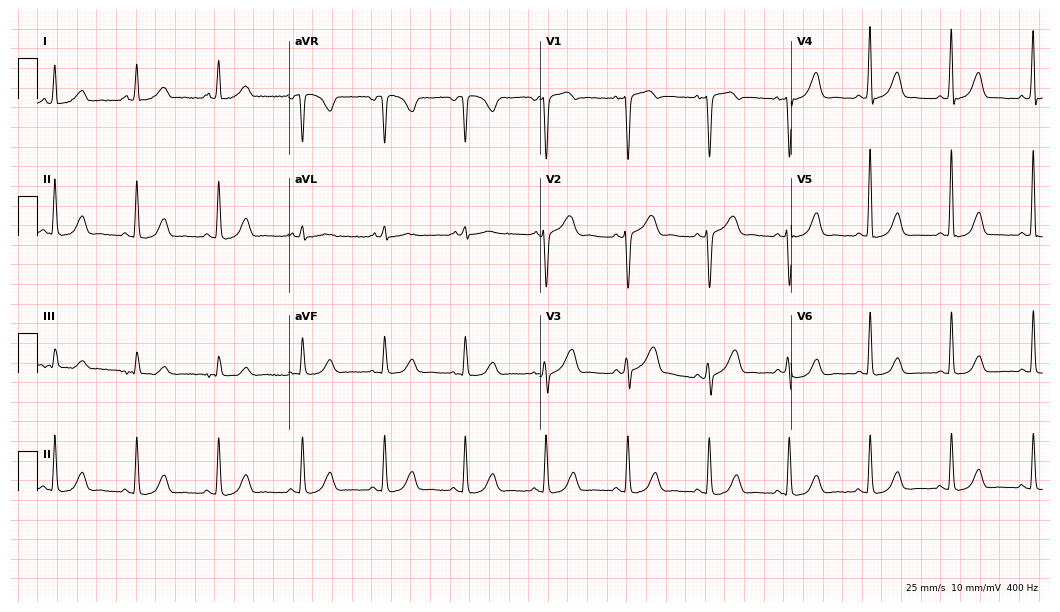
Electrocardiogram, a woman, 62 years old. Of the six screened findings (first-degree AV block, right bundle branch block (RBBB), left bundle branch block (LBBB), sinus bradycardia, atrial fibrillation (AF), sinus tachycardia), none is recorded.